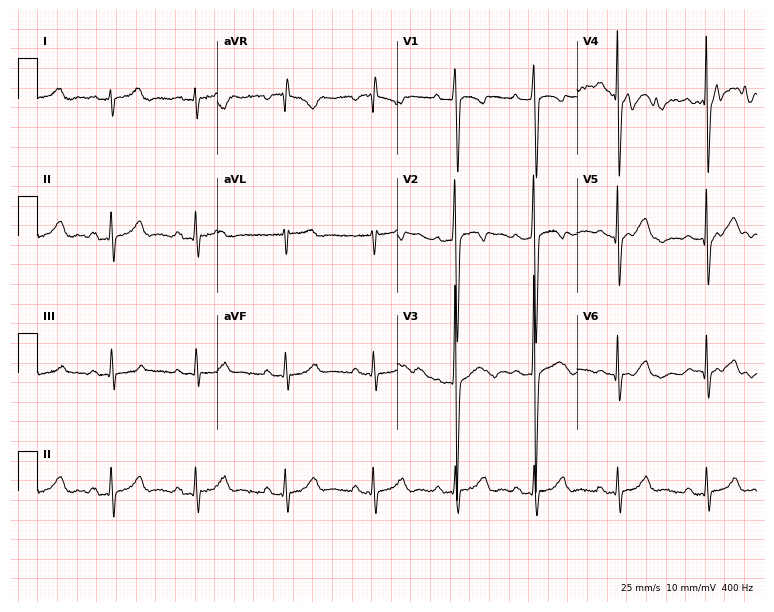
Resting 12-lead electrocardiogram (7.3-second recording at 400 Hz). Patient: a male, 20 years old. Read as a normal ECG.